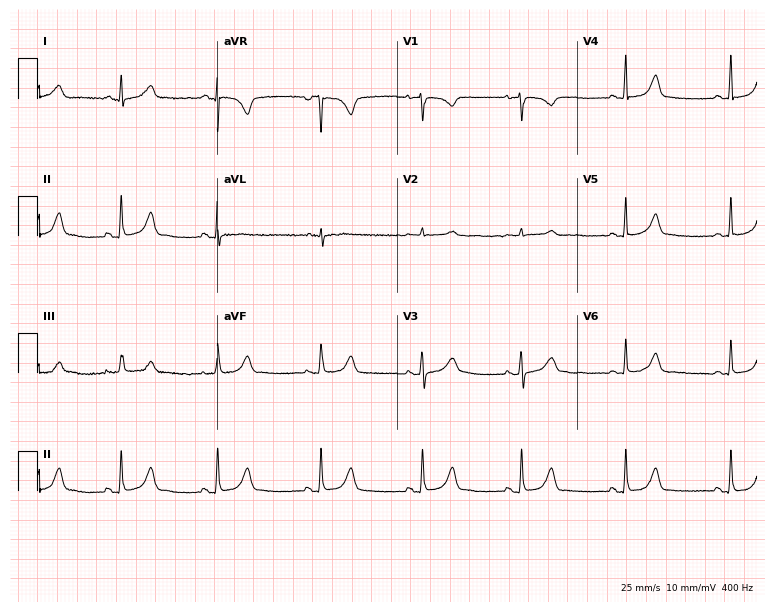
Standard 12-lead ECG recorded from a 30-year-old woman (7.3-second recording at 400 Hz). None of these six findings is recorded: first-degree AV block, right bundle branch block, left bundle branch block, sinus bradycardia, atrial fibrillation, sinus tachycardia.